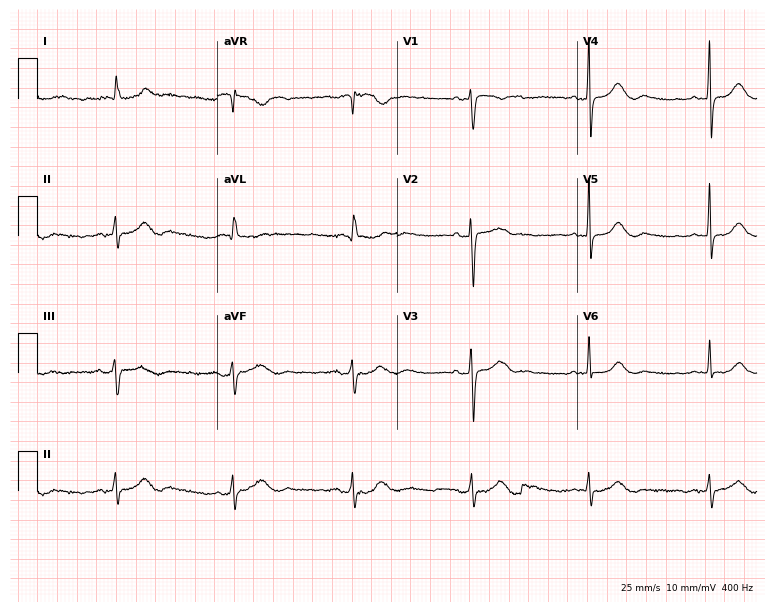
Standard 12-lead ECG recorded from a female, 80 years old (7.3-second recording at 400 Hz). Read as a normal ECG.